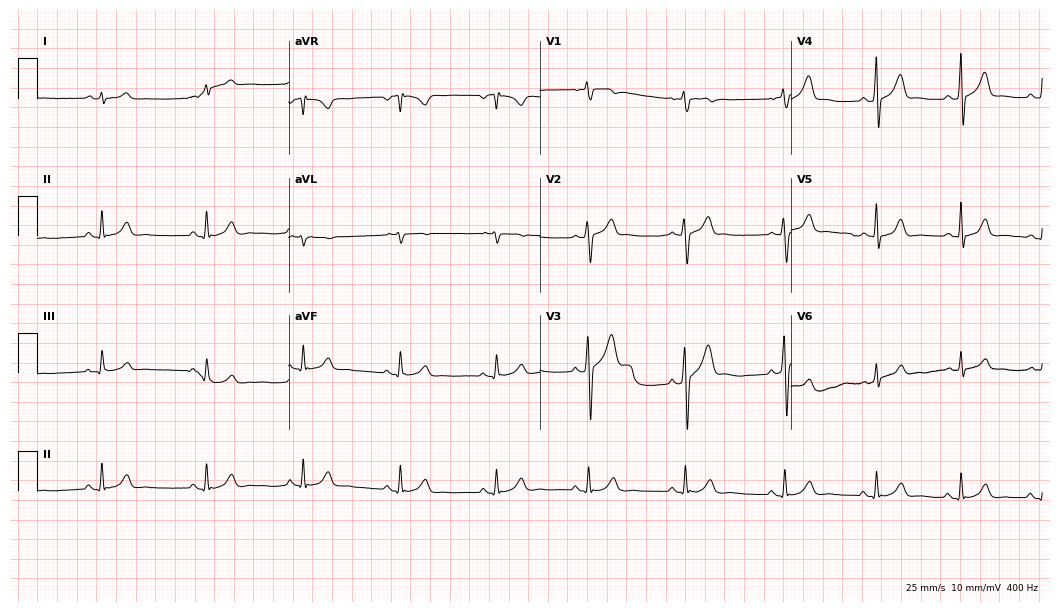
12-lead ECG from a male patient, 41 years old. Recorded interpretation: within normal limits.